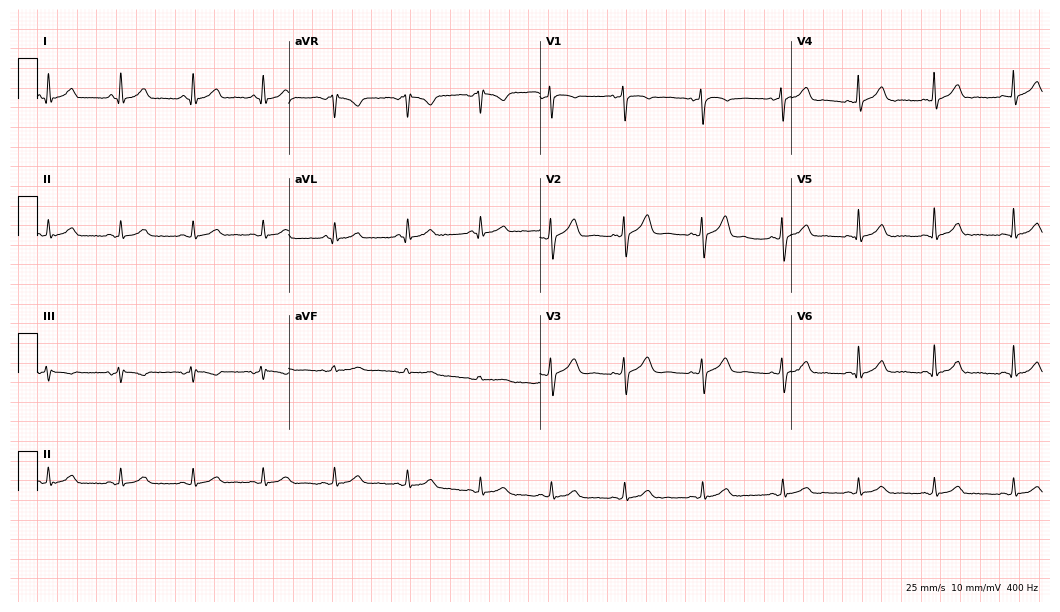
ECG (10.2-second recording at 400 Hz) — a female patient, 36 years old. Labelled as a normal ECG.